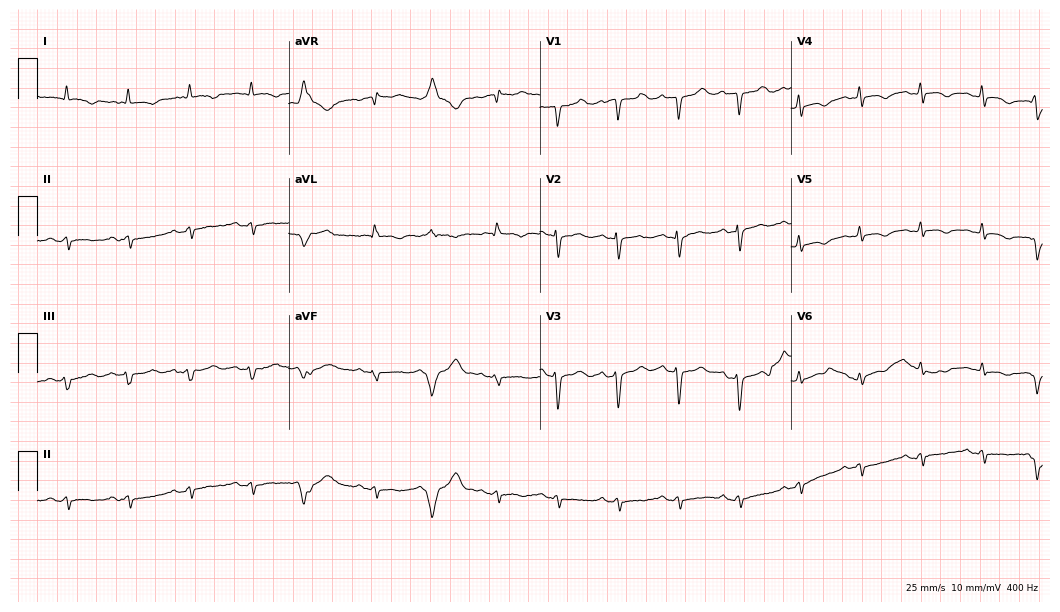
12-lead ECG from an 82-year-old woman. No first-degree AV block, right bundle branch block (RBBB), left bundle branch block (LBBB), sinus bradycardia, atrial fibrillation (AF) or sinus tachycardia recorded for this tracing. Only these six findings were labelled.